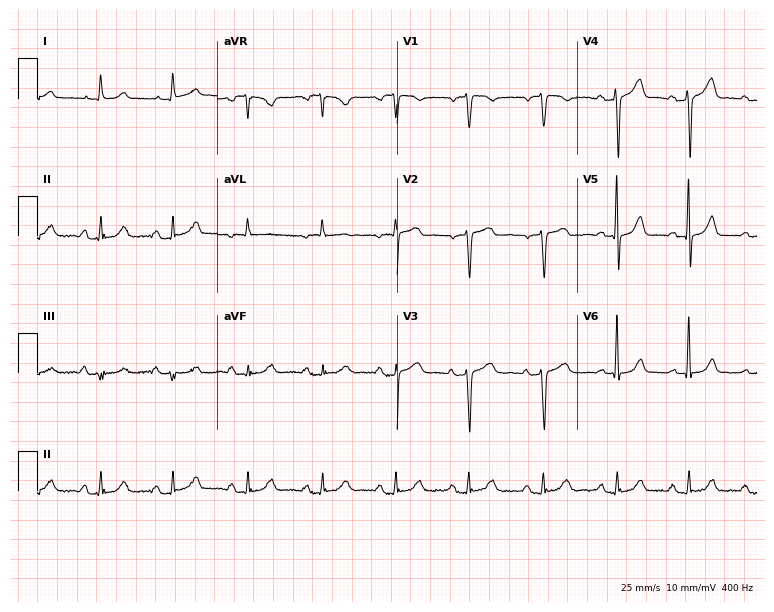
ECG (7.3-second recording at 400 Hz) — a 76-year-old female. Labelled as a normal ECG.